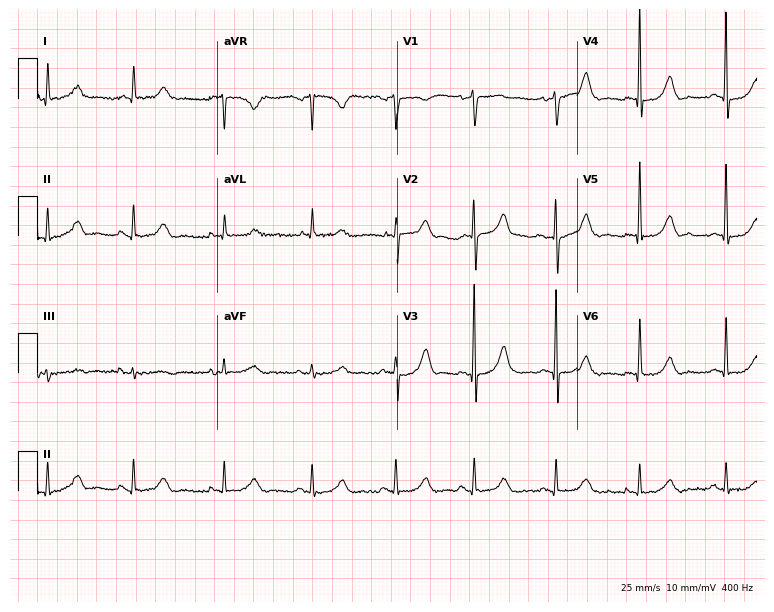
Electrocardiogram, a 58-year-old male. Of the six screened findings (first-degree AV block, right bundle branch block, left bundle branch block, sinus bradycardia, atrial fibrillation, sinus tachycardia), none is recorded. Findings outside these six are not listed.